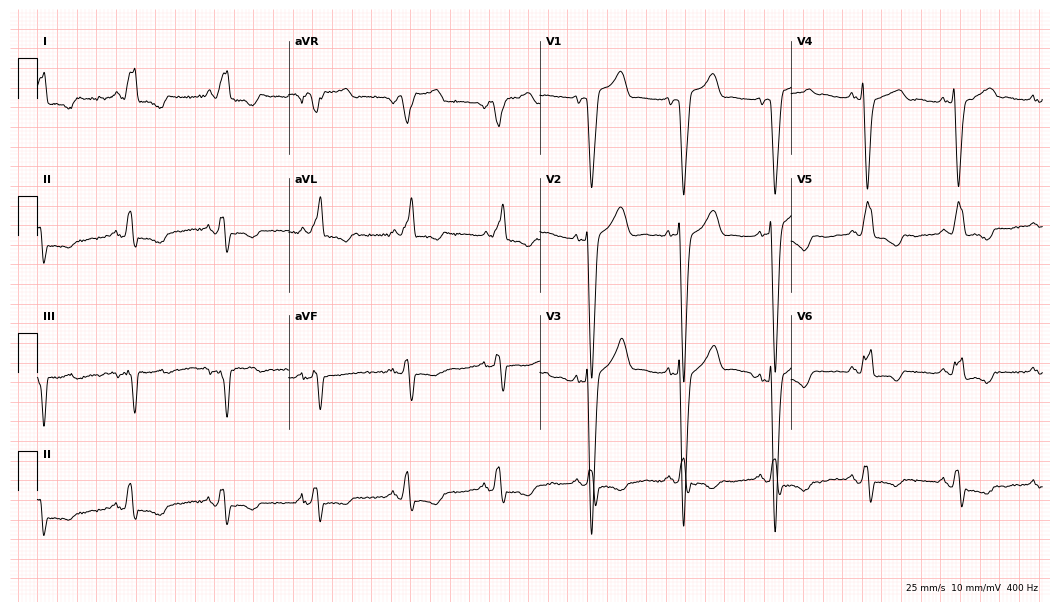
ECG (10.2-second recording at 400 Hz) — a male patient, 79 years old. Findings include left bundle branch block.